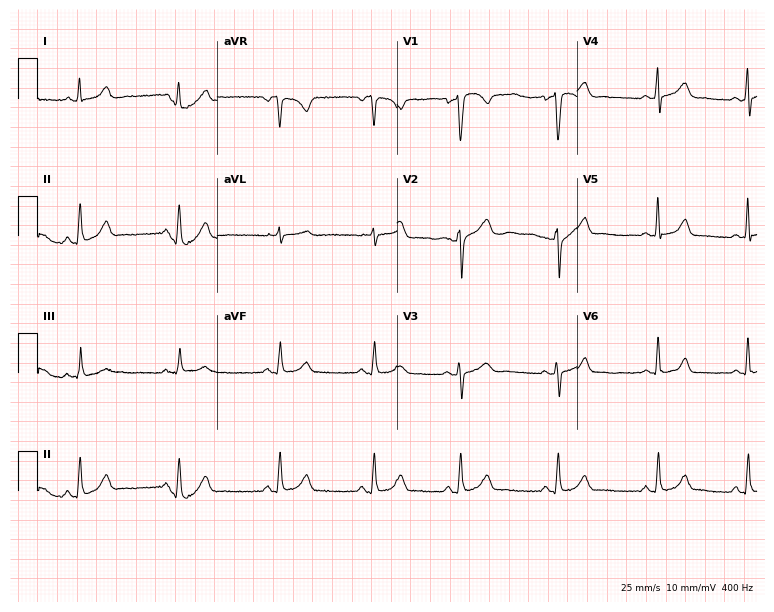
Resting 12-lead electrocardiogram. Patient: a woman, 37 years old. Read as a normal ECG.